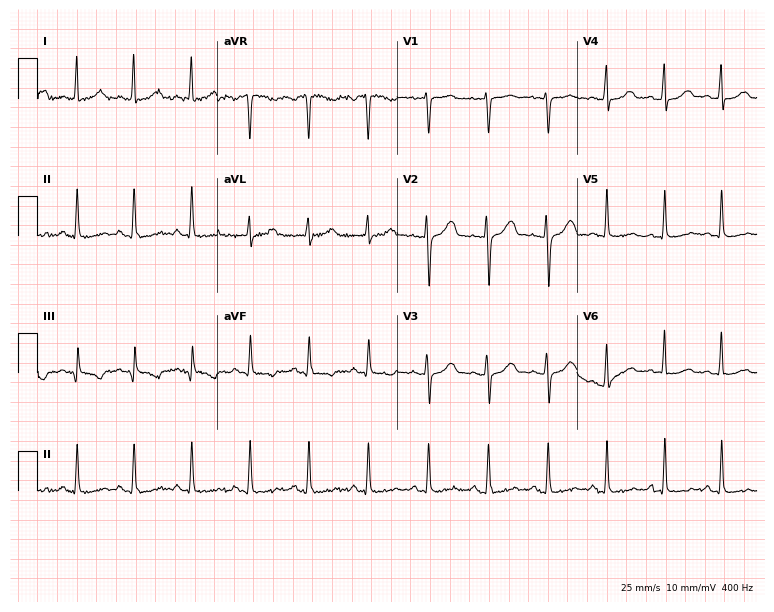
Resting 12-lead electrocardiogram (7.3-second recording at 400 Hz). Patient: a 31-year-old female. The tracing shows sinus tachycardia (a sinus rate of 100 beats per minute or more).